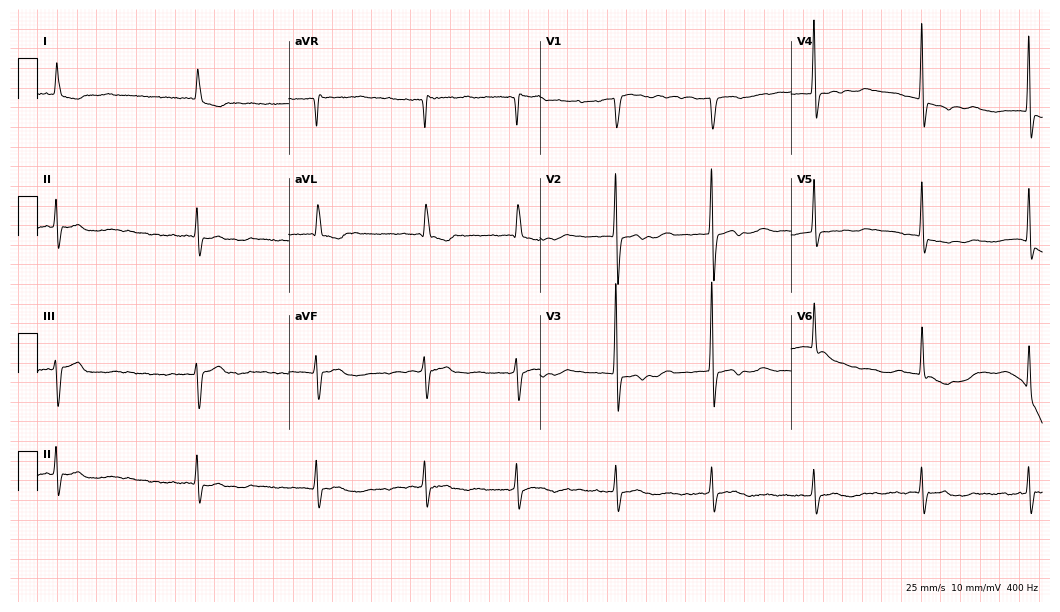
ECG (10.2-second recording at 400 Hz) — a female patient, 84 years old. Findings include atrial fibrillation (AF).